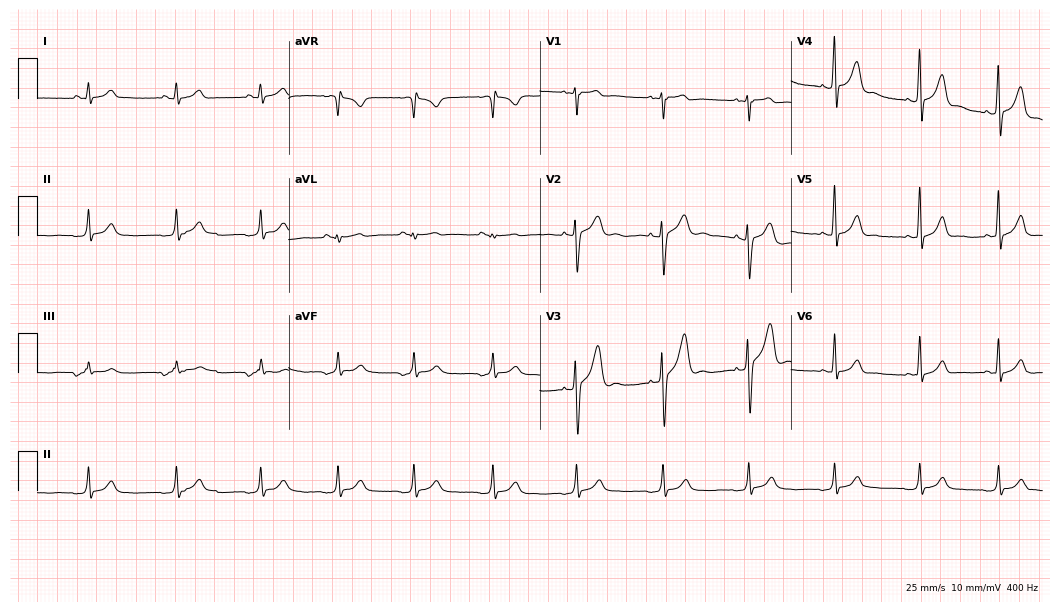
12-lead ECG from a male patient, 21 years old. Screened for six findings — first-degree AV block, right bundle branch block, left bundle branch block, sinus bradycardia, atrial fibrillation, sinus tachycardia — none is recorded.